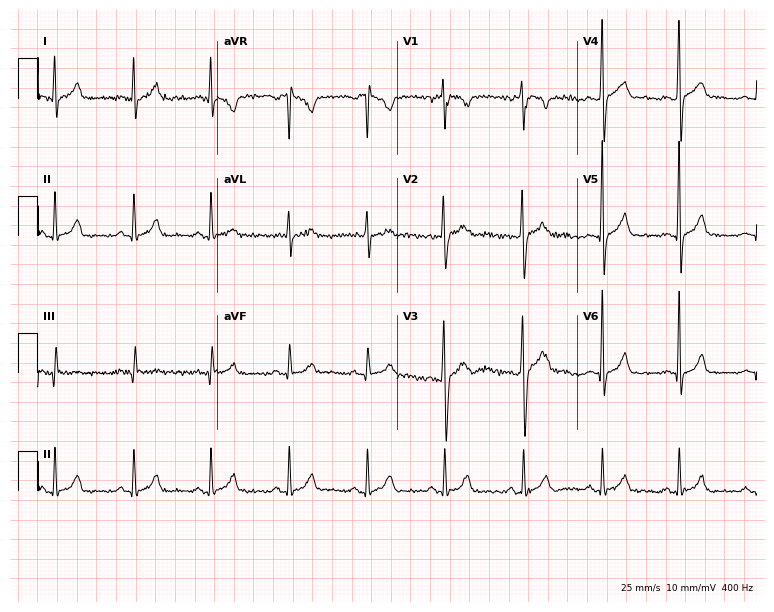
ECG (7.3-second recording at 400 Hz) — a 19-year-old man. Screened for six findings — first-degree AV block, right bundle branch block (RBBB), left bundle branch block (LBBB), sinus bradycardia, atrial fibrillation (AF), sinus tachycardia — none is recorded. Findings outside these six are not listed.